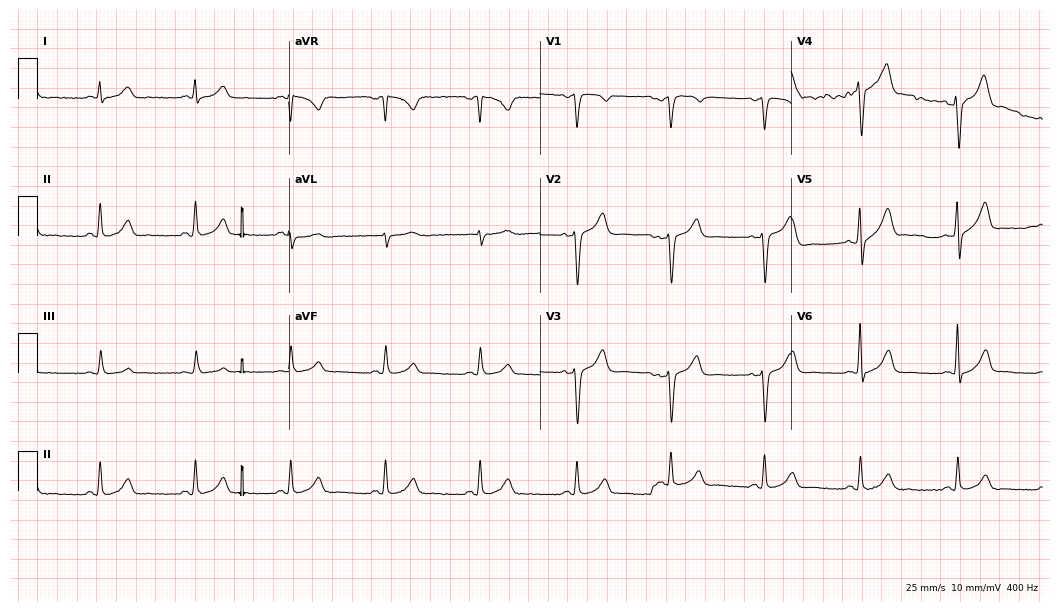
12-lead ECG (10.2-second recording at 400 Hz) from a male, 57 years old. Labelled as a normal ECG.